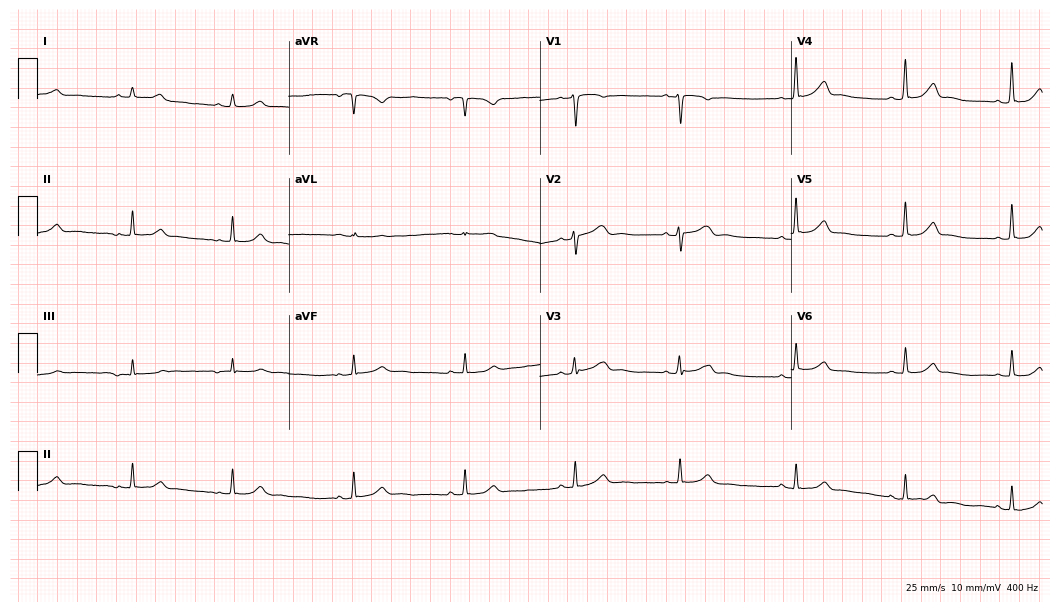
Resting 12-lead electrocardiogram. Patient: a 34-year-old female. None of these six findings is recorded: first-degree AV block, right bundle branch block, left bundle branch block, sinus bradycardia, atrial fibrillation, sinus tachycardia. Other findings, if any, are not listed.